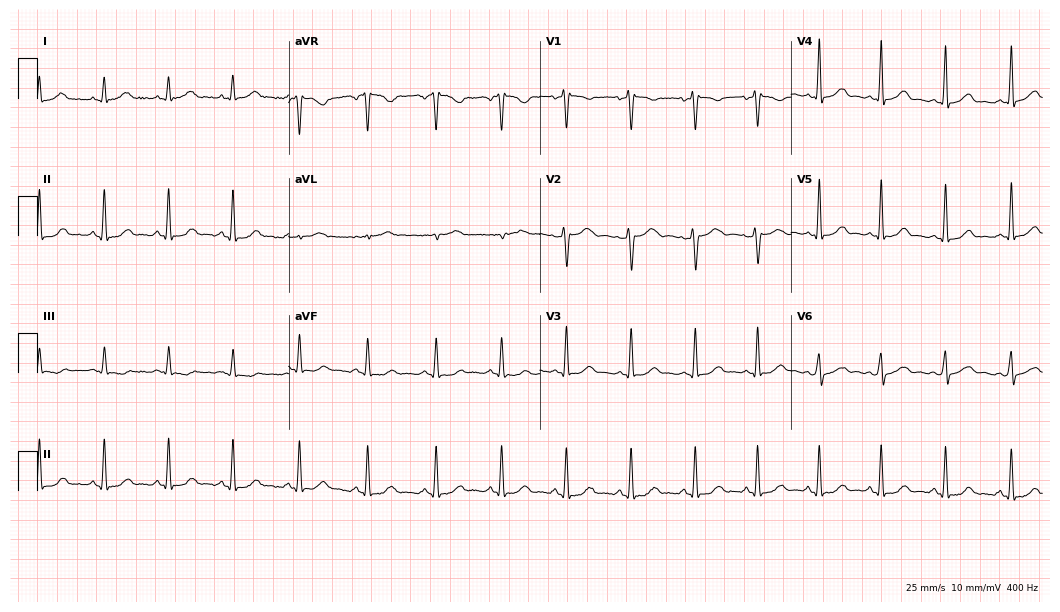
ECG (10.2-second recording at 400 Hz) — a 33-year-old woman. Labelled as a normal ECG.